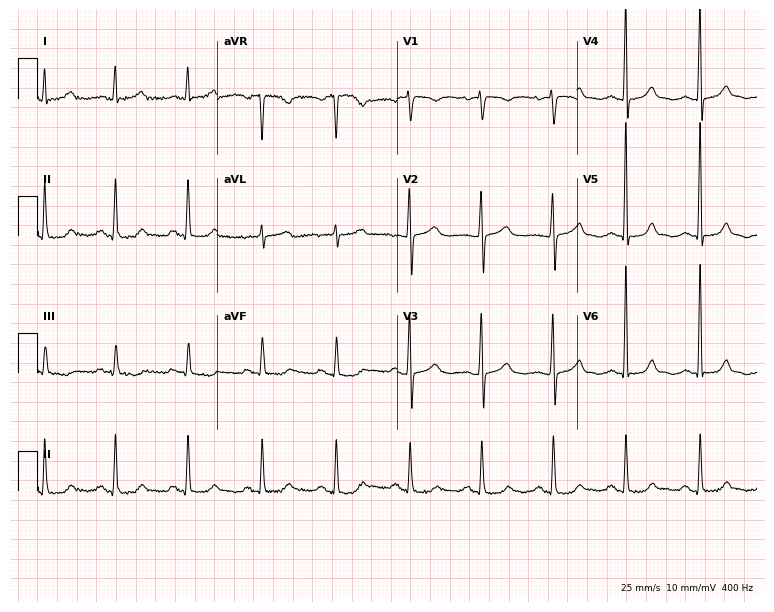
ECG — a woman, 63 years old. Screened for six findings — first-degree AV block, right bundle branch block, left bundle branch block, sinus bradycardia, atrial fibrillation, sinus tachycardia — none is recorded. Only these six findings were labelled.